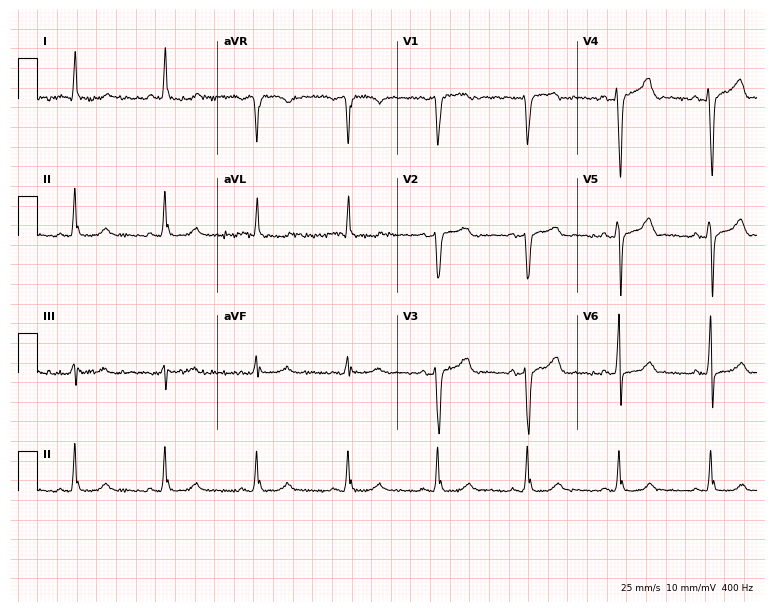
Resting 12-lead electrocardiogram (7.3-second recording at 400 Hz). Patient: a male, 56 years old. None of these six findings is recorded: first-degree AV block, right bundle branch block, left bundle branch block, sinus bradycardia, atrial fibrillation, sinus tachycardia. Other findings, if any, are not listed.